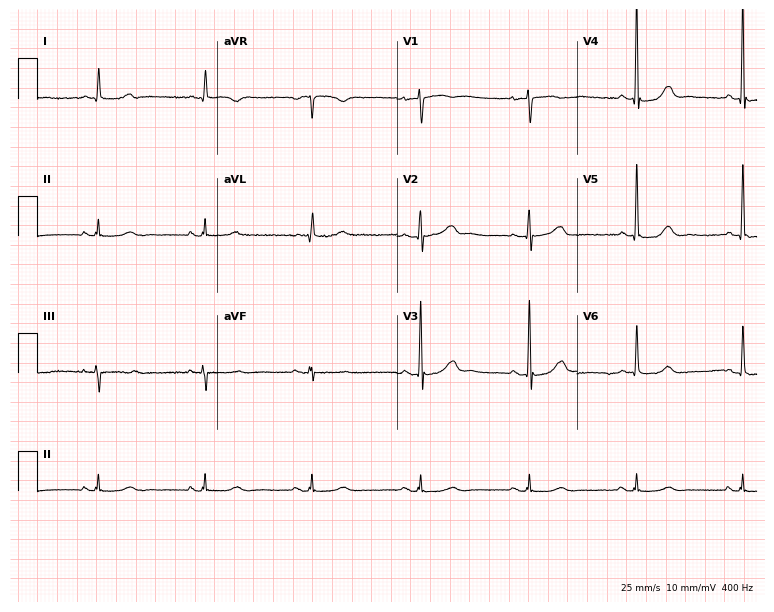
Resting 12-lead electrocardiogram (7.3-second recording at 400 Hz). Patient: a female, 65 years old. None of these six findings is recorded: first-degree AV block, right bundle branch block, left bundle branch block, sinus bradycardia, atrial fibrillation, sinus tachycardia.